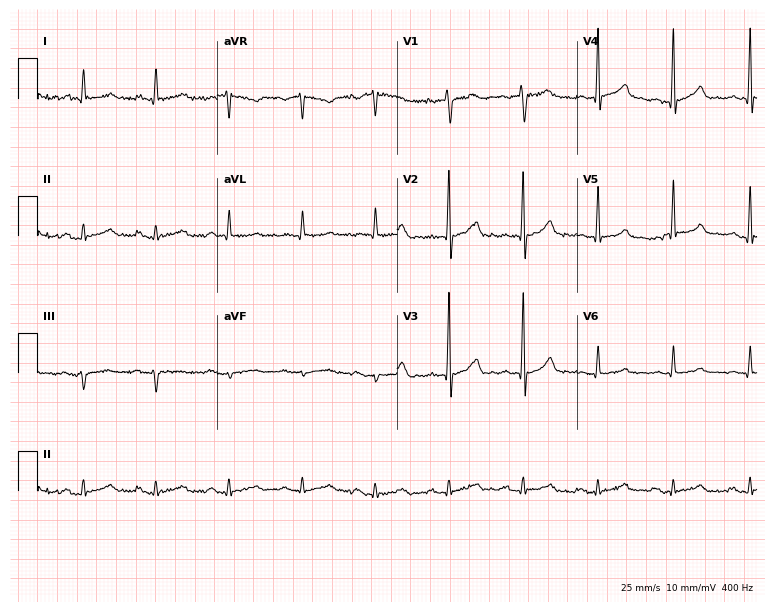
Electrocardiogram, a 64-year-old male. Overall reading on record: normal ECG.